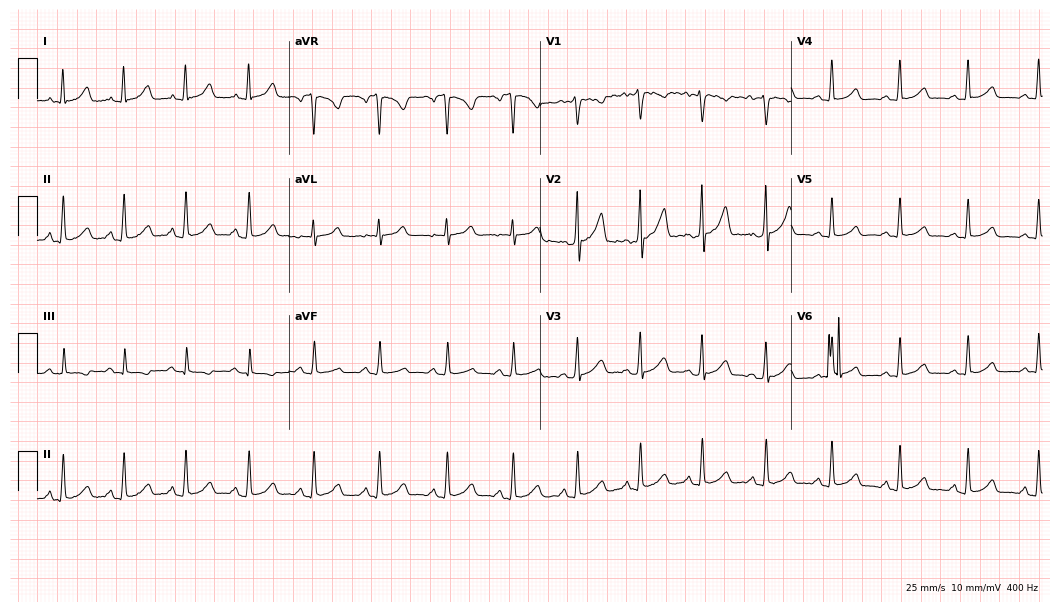
12-lead ECG from a 23-year-old woman. Recorded interpretation: within normal limits.